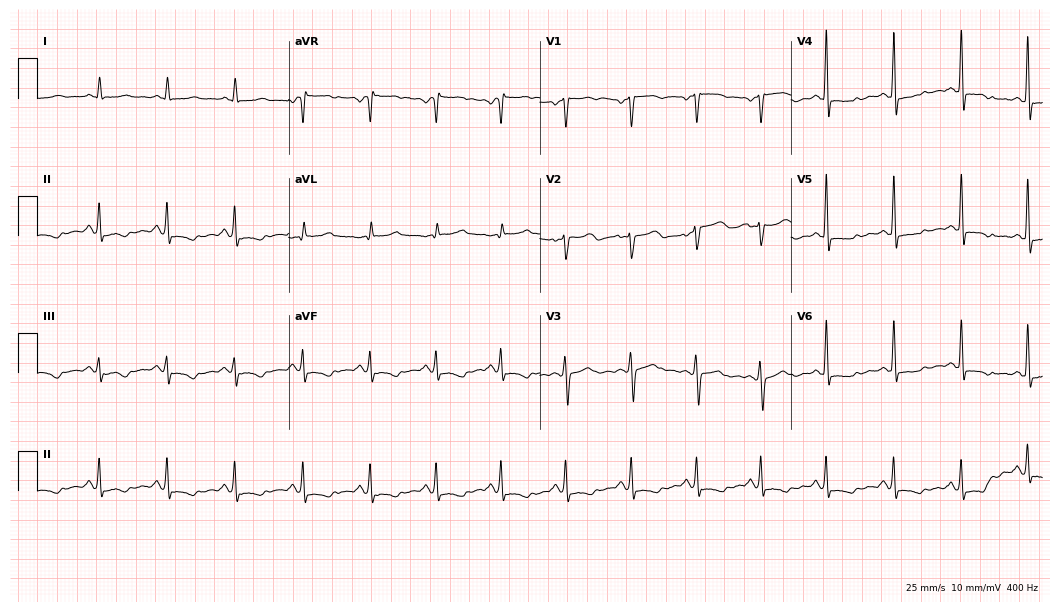
Resting 12-lead electrocardiogram. Patient: a 46-year-old female. None of these six findings is recorded: first-degree AV block, right bundle branch block (RBBB), left bundle branch block (LBBB), sinus bradycardia, atrial fibrillation (AF), sinus tachycardia.